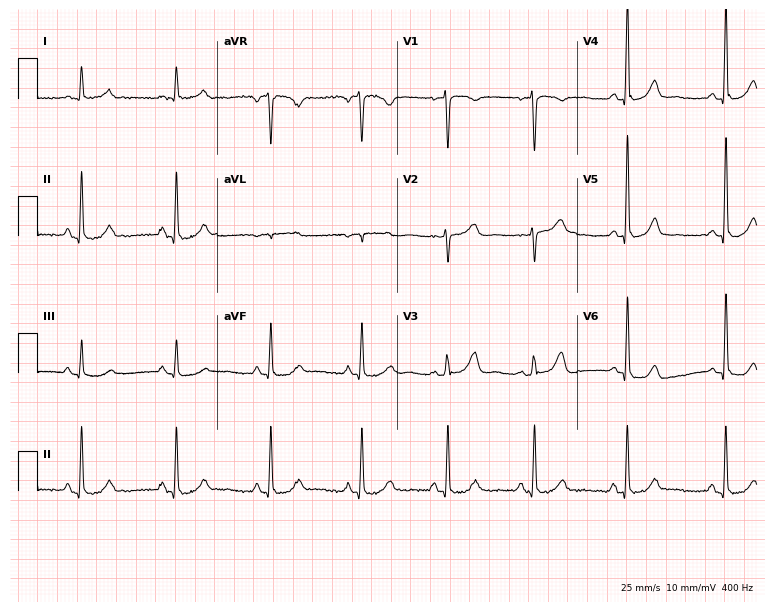
12-lead ECG from a 48-year-old female (7.3-second recording at 400 Hz). Recorded interpretation: within normal limits.